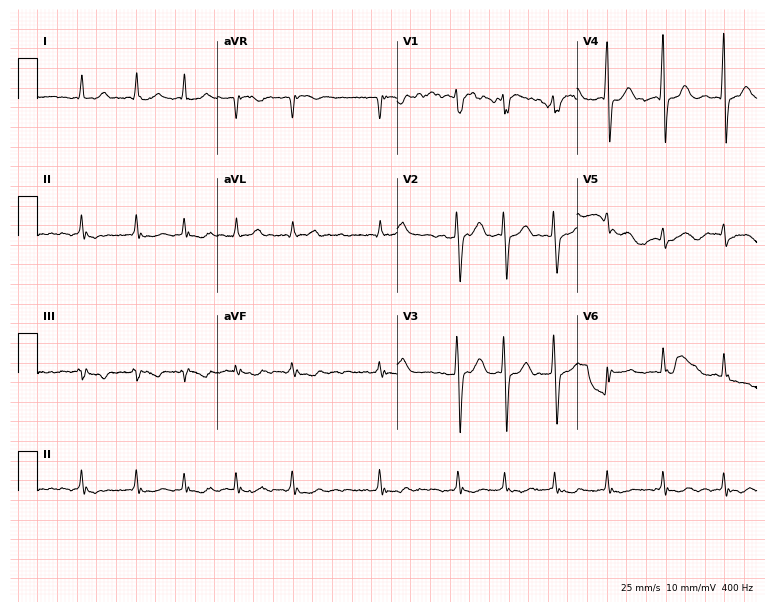
Standard 12-lead ECG recorded from a 76-year-old man. None of these six findings is recorded: first-degree AV block, right bundle branch block (RBBB), left bundle branch block (LBBB), sinus bradycardia, atrial fibrillation (AF), sinus tachycardia. Only these six findings were labelled.